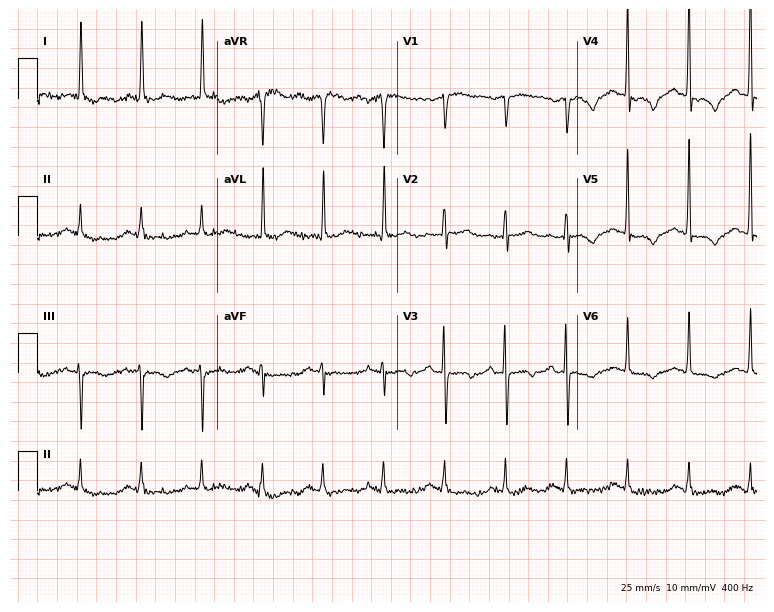
12-lead ECG from a 74-year-old woman (7.3-second recording at 400 Hz). No first-degree AV block, right bundle branch block, left bundle branch block, sinus bradycardia, atrial fibrillation or sinus tachycardia recorded for this tracing.